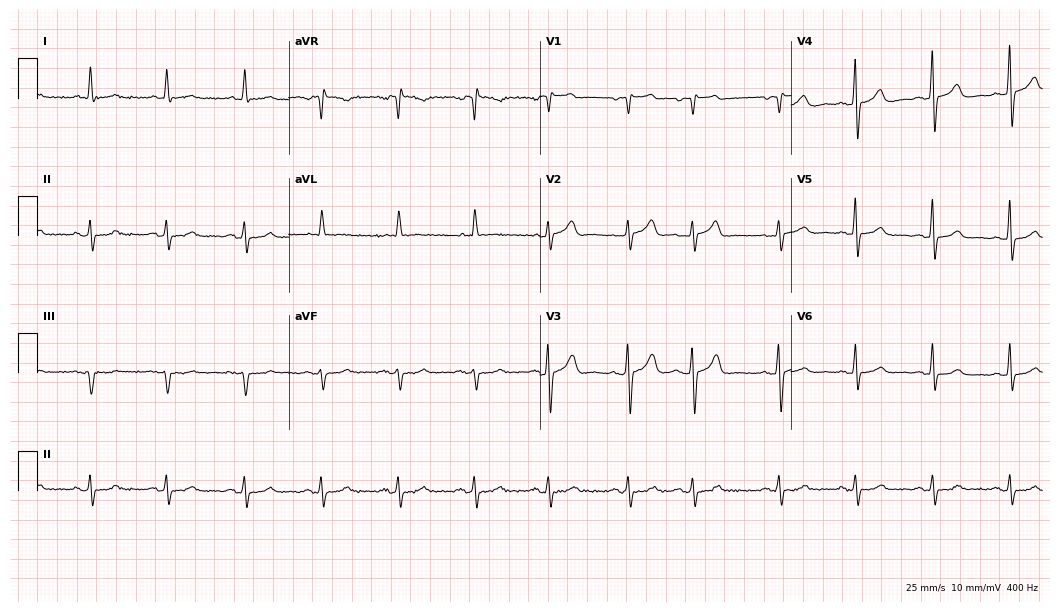
12-lead ECG (10.2-second recording at 400 Hz) from a 78-year-old female. Screened for six findings — first-degree AV block, right bundle branch block, left bundle branch block, sinus bradycardia, atrial fibrillation, sinus tachycardia — none is recorded.